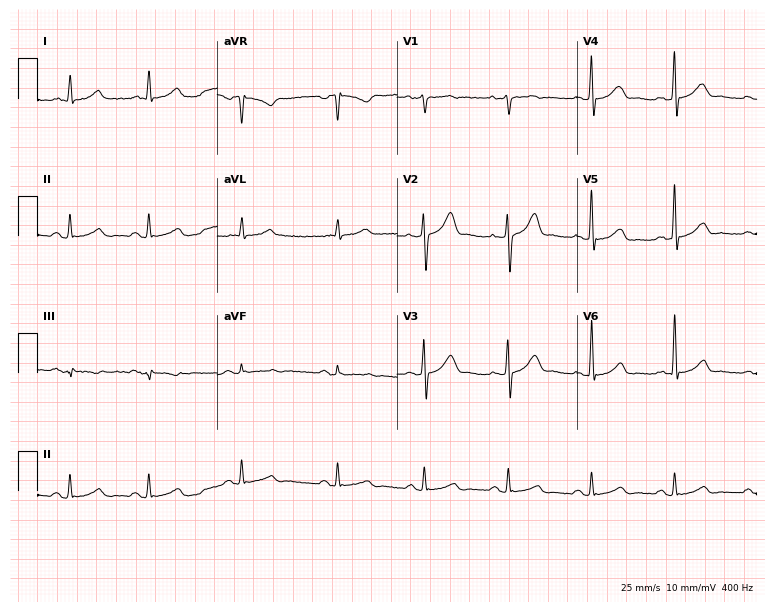
12-lead ECG (7.3-second recording at 400 Hz) from a man, 39 years old. Screened for six findings — first-degree AV block, right bundle branch block, left bundle branch block, sinus bradycardia, atrial fibrillation, sinus tachycardia — none is recorded.